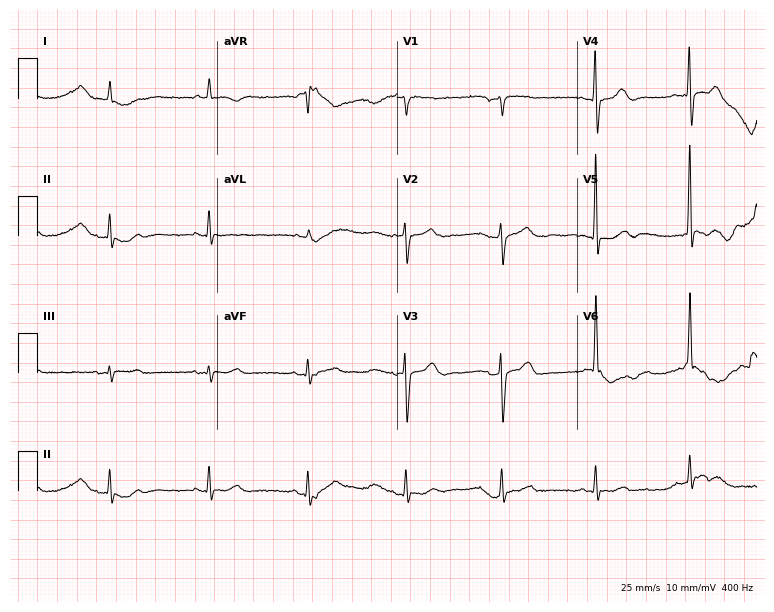
ECG (7.3-second recording at 400 Hz) — an 82-year-old male patient. Screened for six findings — first-degree AV block, right bundle branch block, left bundle branch block, sinus bradycardia, atrial fibrillation, sinus tachycardia — none is recorded.